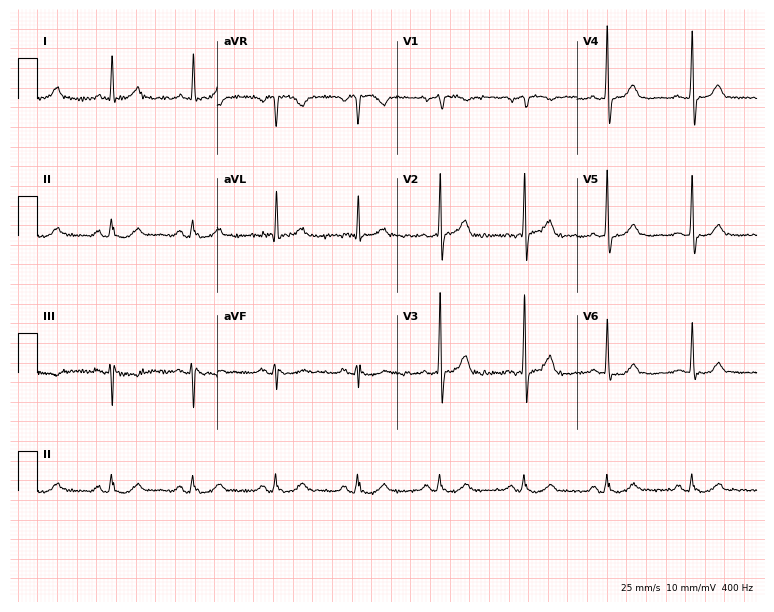
Standard 12-lead ECG recorded from a 66-year-old male (7.3-second recording at 400 Hz). Read as a normal ECG.